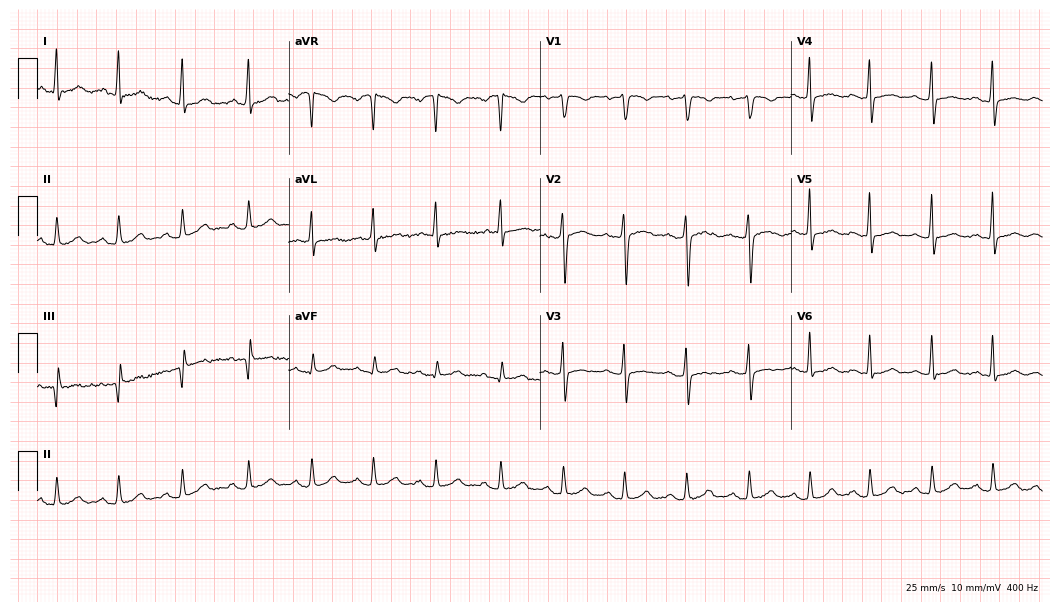
Resting 12-lead electrocardiogram (10.2-second recording at 400 Hz). Patient: a 22-year-old female. None of these six findings is recorded: first-degree AV block, right bundle branch block, left bundle branch block, sinus bradycardia, atrial fibrillation, sinus tachycardia. Only these six findings were labelled.